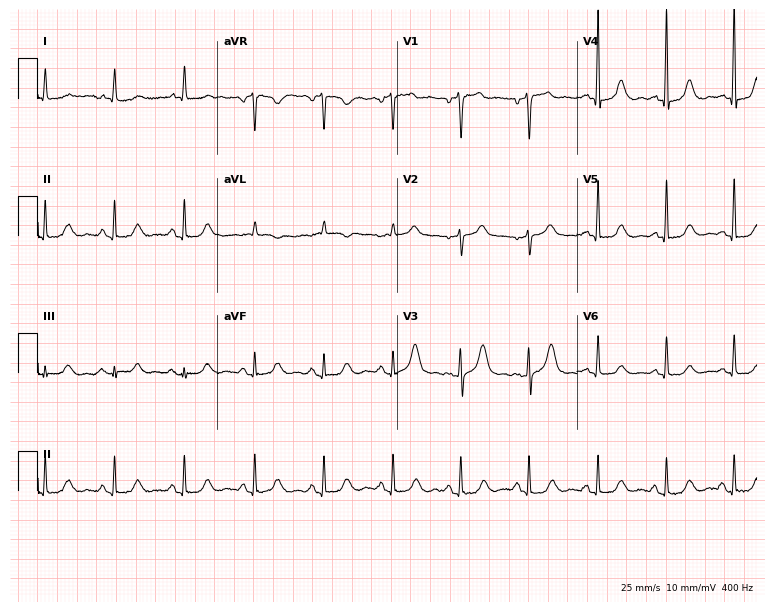
Electrocardiogram (7.3-second recording at 400 Hz), a woman, 68 years old. Overall reading on record: normal ECG.